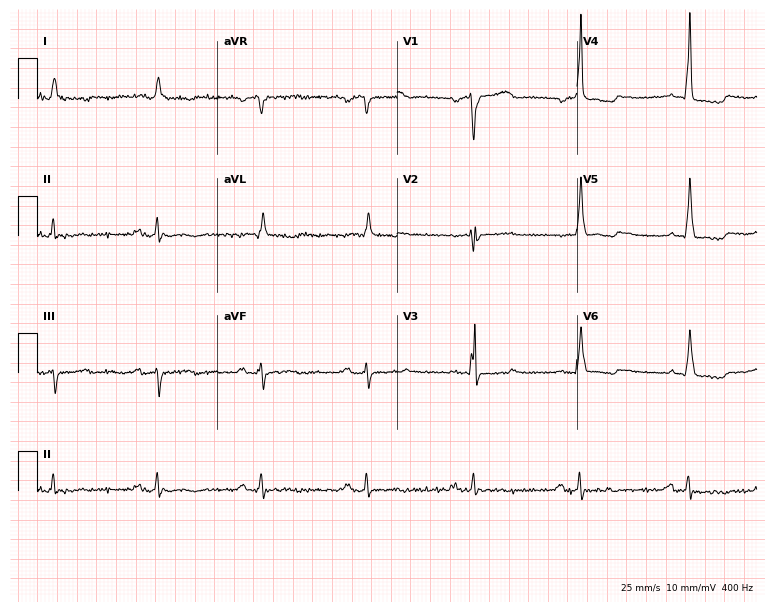
Standard 12-lead ECG recorded from a 77-year-old man. None of these six findings is recorded: first-degree AV block, right bundle branch block, left bundle branch block, sinus bradycardia, atrial fibrillation, sinus tachycardia.